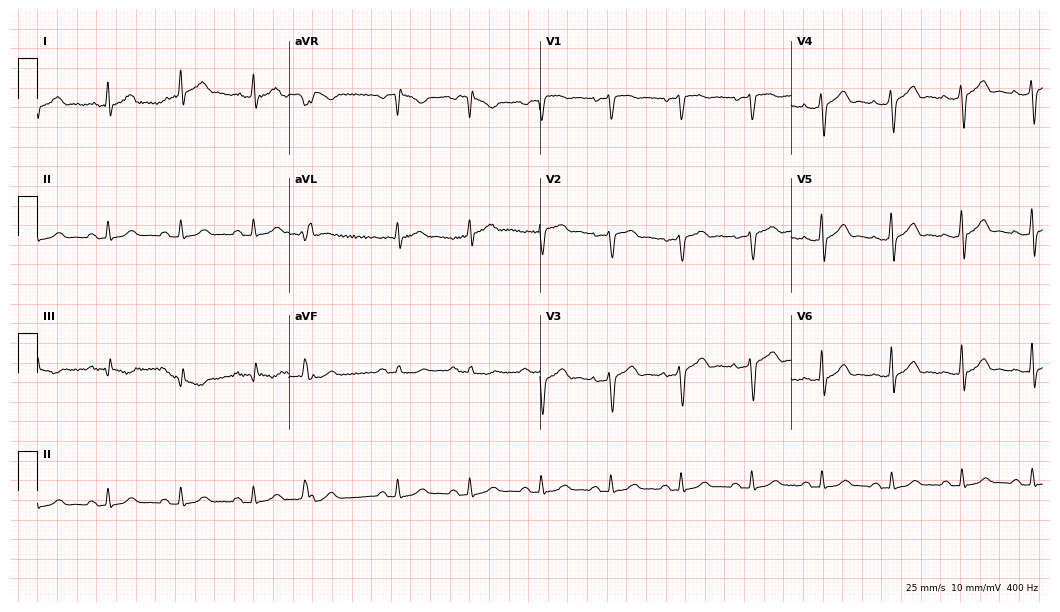
Electrocardiogram, a man, 62 years old. Of the six screened findings (first-degree AV block, right bundle branch block (RBBB), left bundle branch block (LBBB), sinus bradycardia, atrial fibrillation (AF), sinus tachycardia), none is recorded. Only these six findings were labelled.